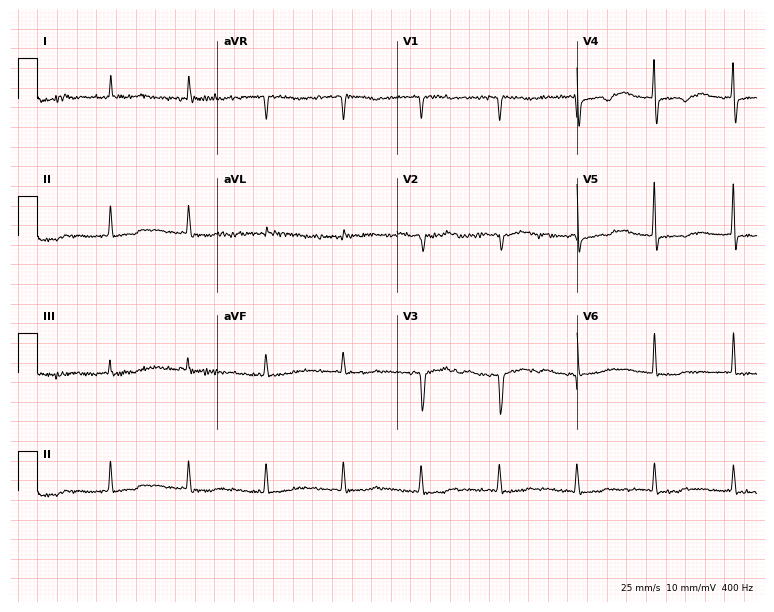
Electrocardiogram, an 80-year-old female. Of the six screened findings (first-degree AV block, right bundle branch block, left bundle branch block, sinus bradycardia, atrial fibrillation, sinus tachycardia), none is recorded.